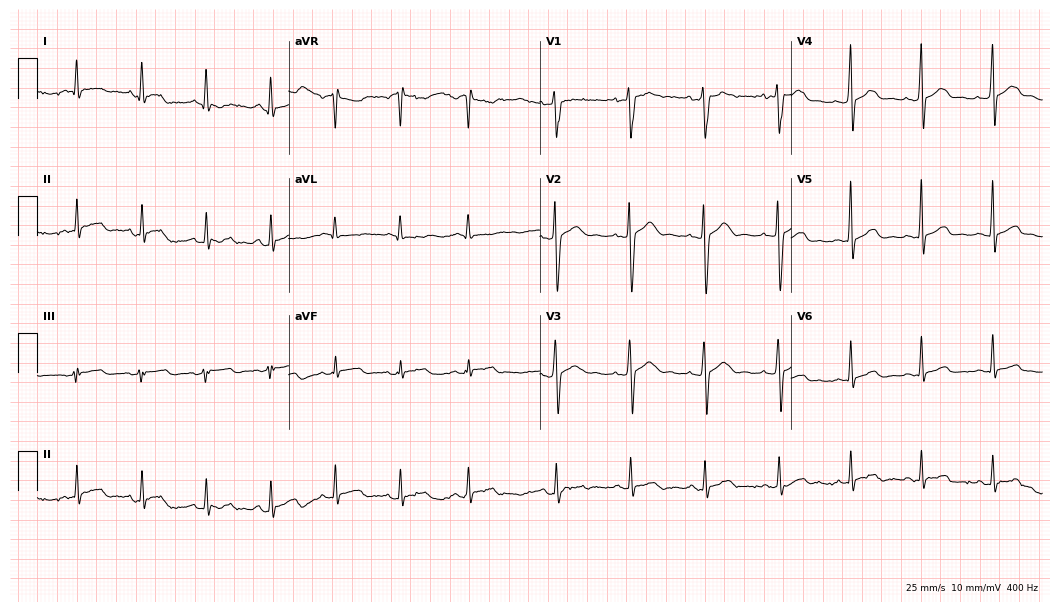
ECG (10.2-second recording at 400 Hz) — a male, 24 years old. Labelled as a normal ECG.